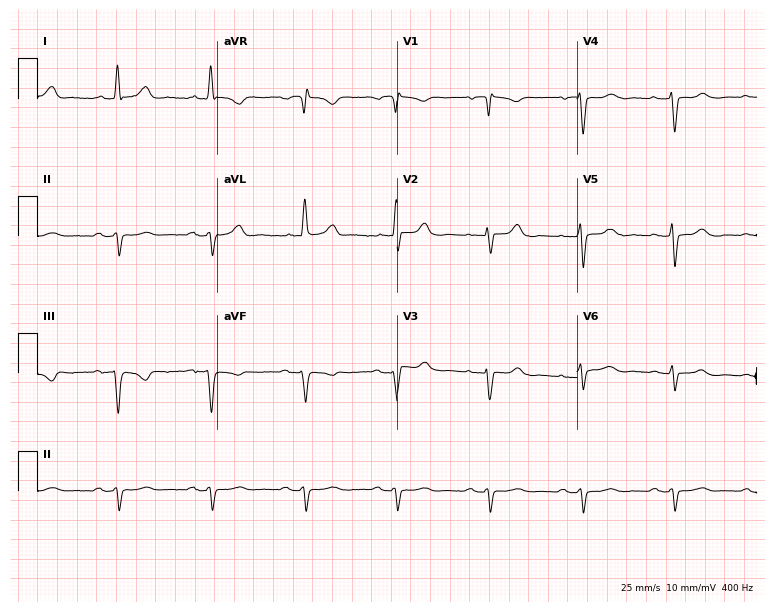
Standard 12-lead ECG recorded from a female, 81 years old. None of these six findings is recorded: first-degree AV block, right bundle branch block, left bundle branch block, sinus bradycardia, atrial fibrillation, sinus tachycardia. Other findings, if any, are not listed.